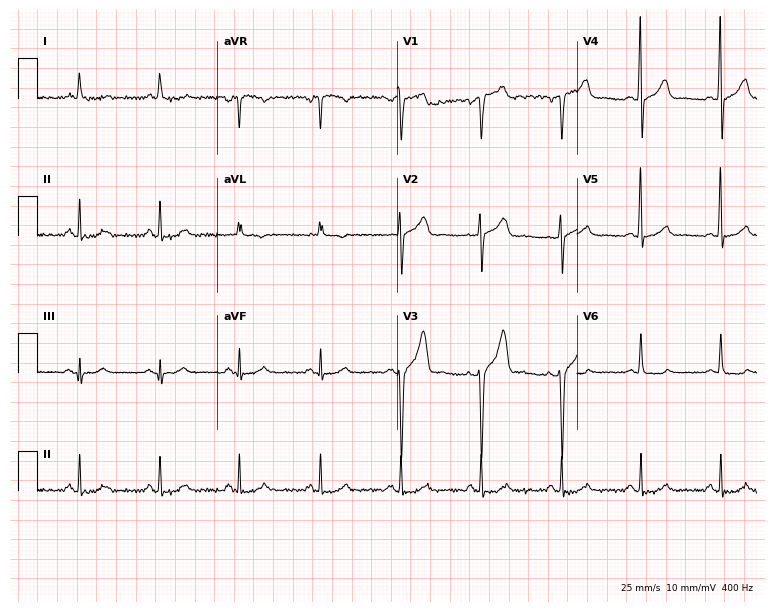
12-lead ECG (7.3-second recording at 400 Hz) from a 49-year-old male patient. Labelled as a normal ECG.